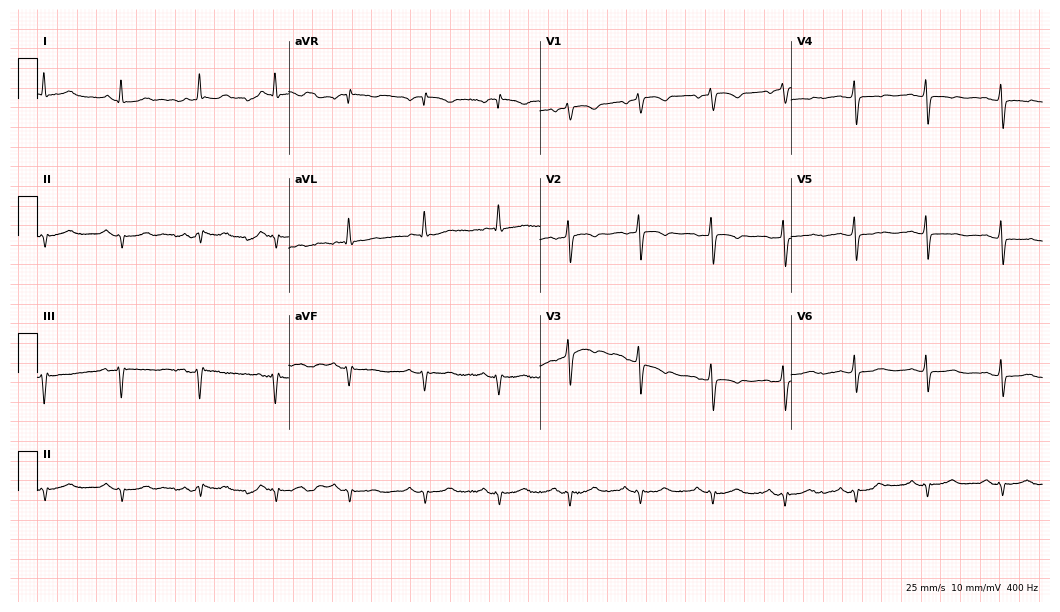
ECG (10.2-second recording at 400 Hz) — a 70-year-old female. Screened for six findings — first-degree AV block, right bundle branch block (RBBB), left bundle branch block (LBBB), sinus bradycardia, atrial fibrillation (AF), sinus tachycardia — none is recorded. Only these six findings were labelled.